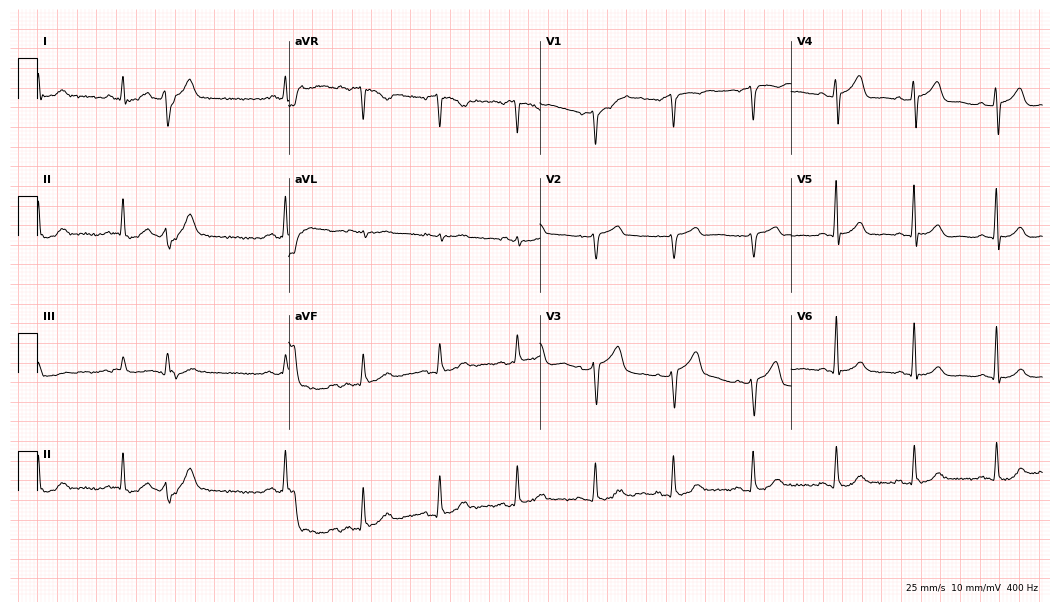
Standard 12-lead ECG recorded from a 60-year-old male patient. None of these six findings is recorded: first-degree AV block, right bundle branch block (RBBB), left bundle branch block (LBBB), sinus bradycardia, atrial fibrillation (AF), sinus tachycardia.